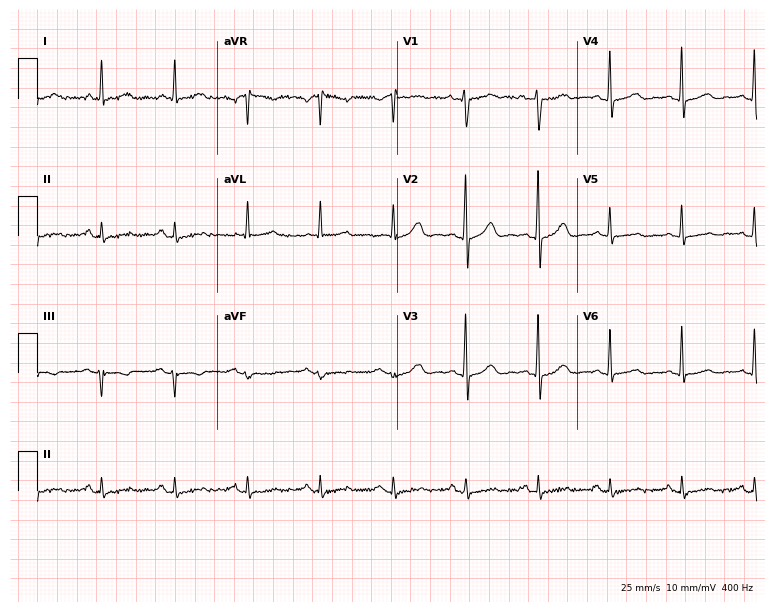
Electrocardiogram (7.3-second recording at 400 Hz), a male, 68 years old. Of the six screened findings (first-degree AV block, right bundle branch block, left bundle branch block, sinus bradycardia, atrial fibrillation, sinus tachycardia), none is recorded.